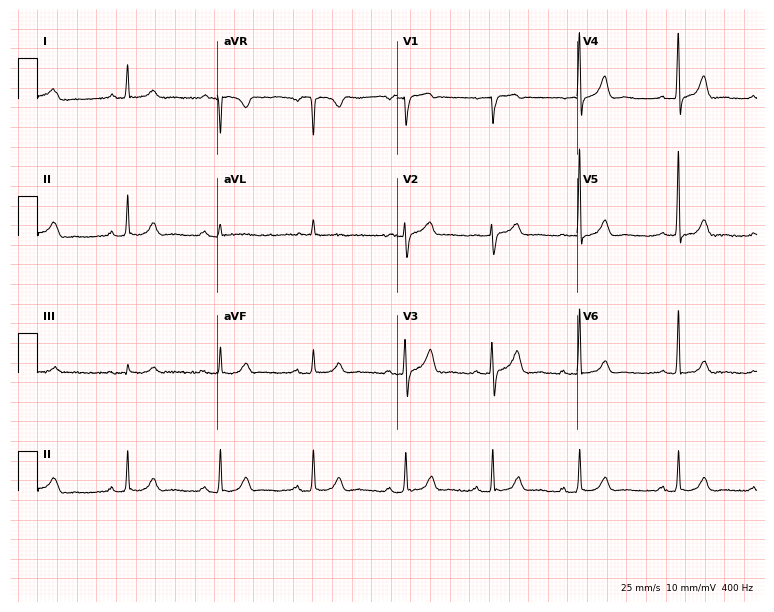
Electrocardiogram, an 83-year-old male. Overall reading on record: normal ECG.